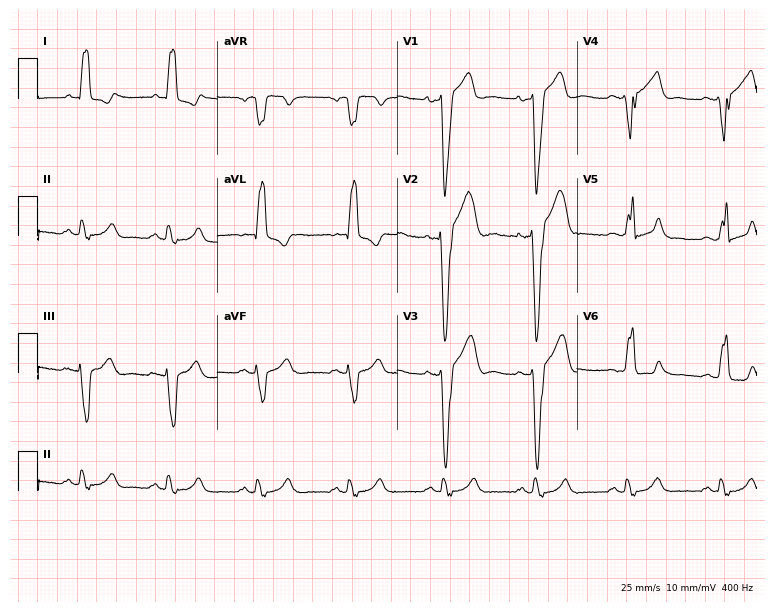
Standard 12-lead ECG recorded from a male patient, 44 years old. The tracing shows left bundle branch block.